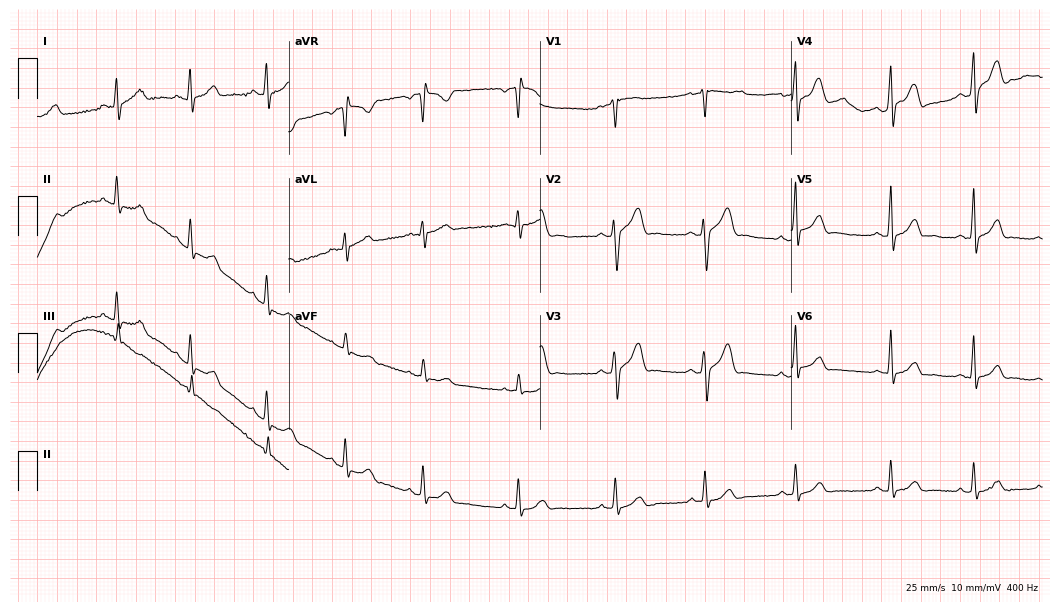
Standard 12-lead ECG recorded from a 24-year-old man. None of these six findings is recorded: first-degree AV block, right bundle branch block, left bundle branch block, sinus bradycardia, atrial fibrillation, sinus tachycardia. Findings outside these six are not listed.